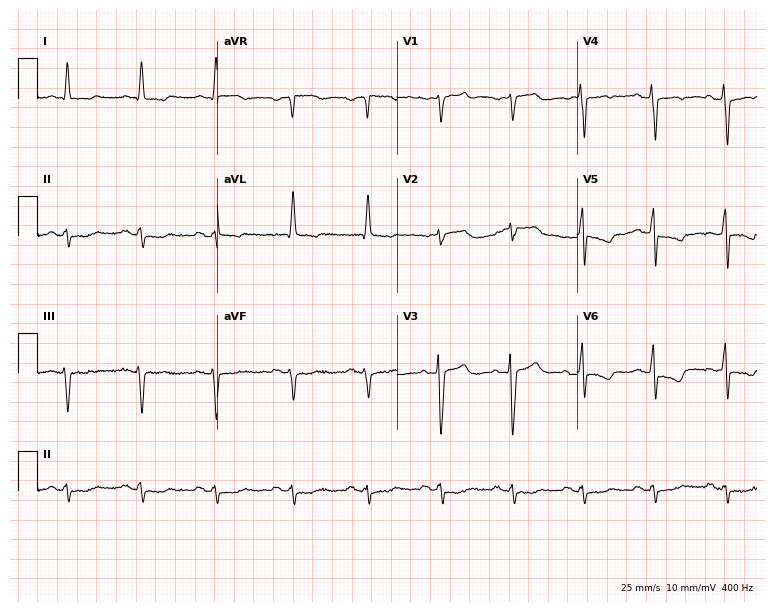
12-lead ECG (7.3-second recording at 400 Hz) from a 74-year-old female patient. Screened for six findings — first-degree AV block, right bundle branch block, left bundle branch block, sinus bradycardia, atrial fibrillation, sinus tachycardia — none is recorded.